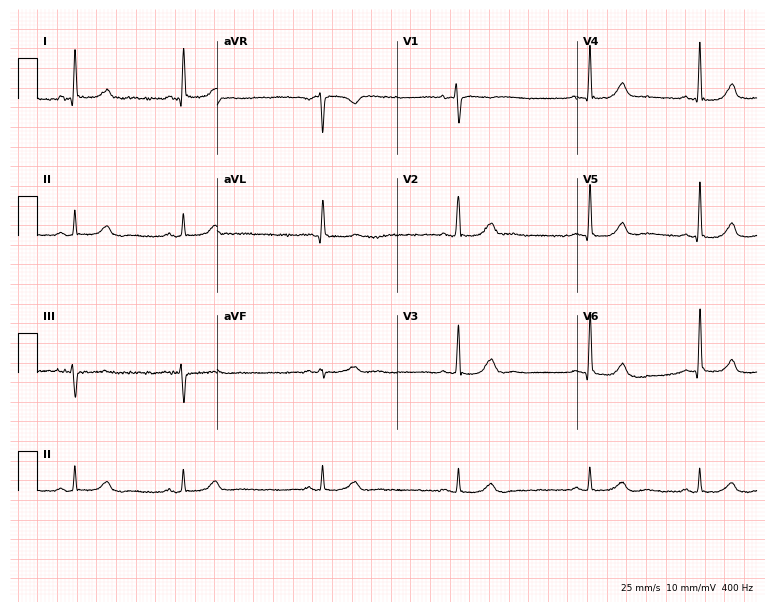
12-lead ECG (7.3-second recording at 400 Hz) from a woman, 61 years old. Screened for six findings — first-degree AV block, right bundle branch block (RBBB), left bundle branch block (LBBB), sinus bradycardia, atrial fibrillation (AF), sinus tachycardia — none is recorded.